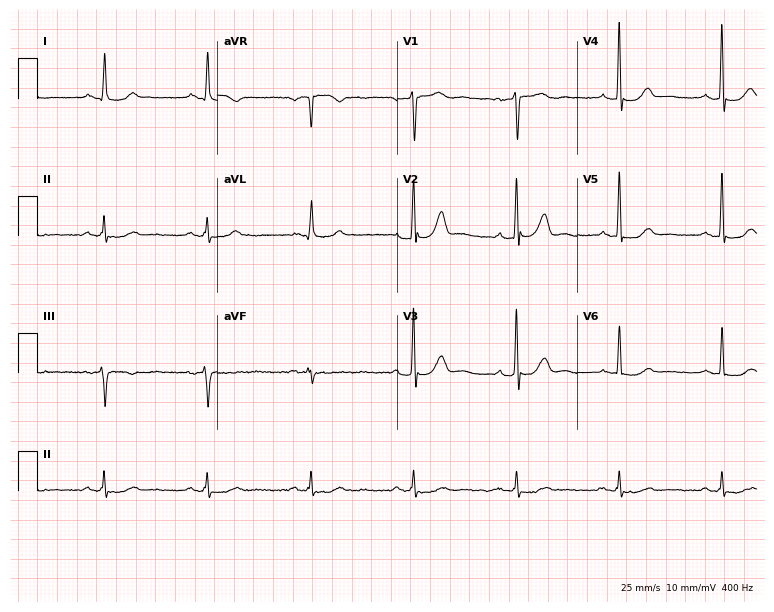
ECG (7.3-second recording at 400 Hz) — a male patient, 69 years old. Screened for six findings — first-degree AV block, right bundle branch block, left bundle branch block, sinus bradycardia, atrial fibrillation, sinus tachycardia — none is recorded.